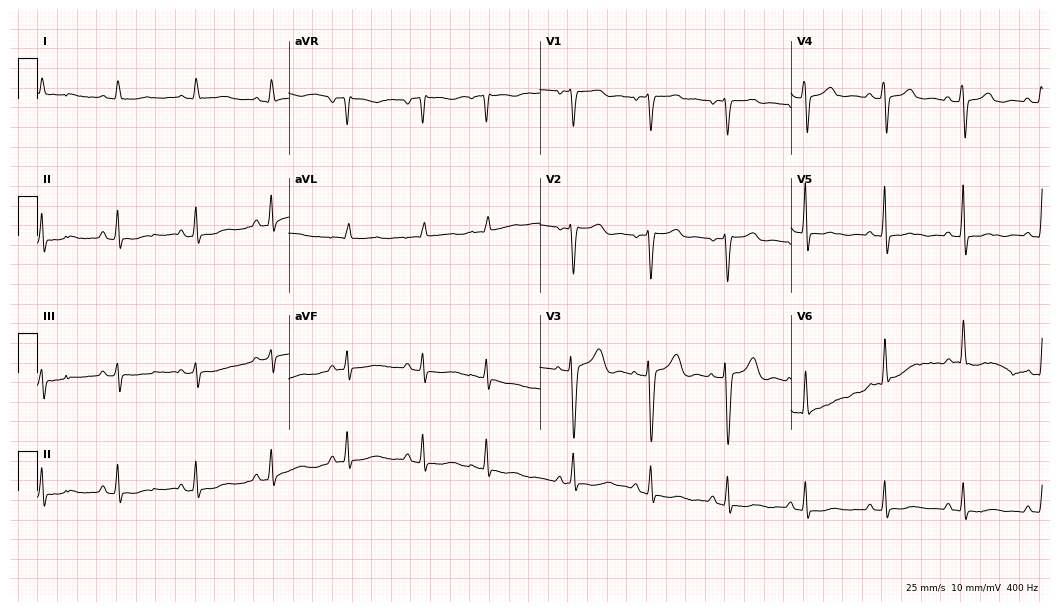
Resting 12-lead electrocardiogram. Patient: a 66-year-old female. None of these six findings is recorded: first-degree AV block, right bundle branch block, left bundle branch block, sinus bradycardia, atrial fibrillation, sinus tachycardia.